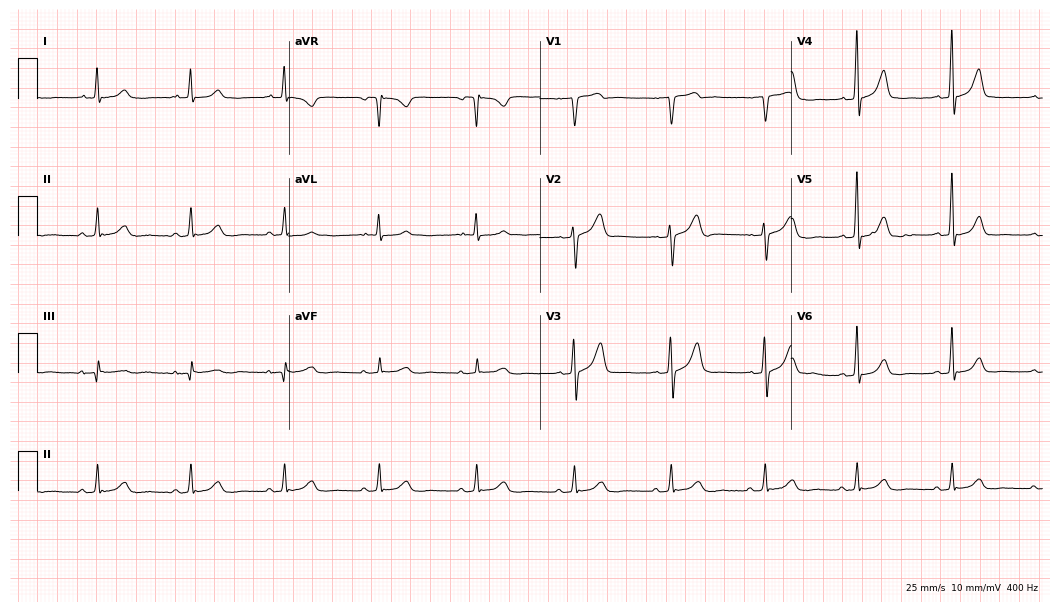
Standard 12-lead ECG recorded from a 58-year-old male patient (10.2-second recording at 400 Hz). Read as a normal ECG.